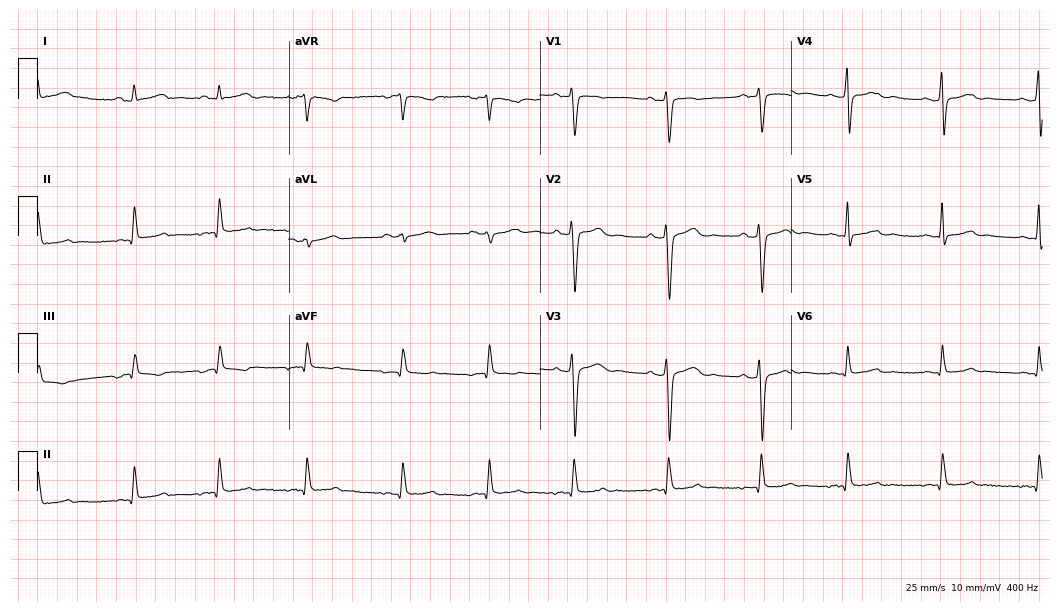
Standard 12-lead ECG recorded from a female patient, 36 years old. None of these six findings is recorded: first-degree AV block, right bundle branch block, left bundle branch block, sinus bradycardia, atrial fibrillation, sinus tachycardia.